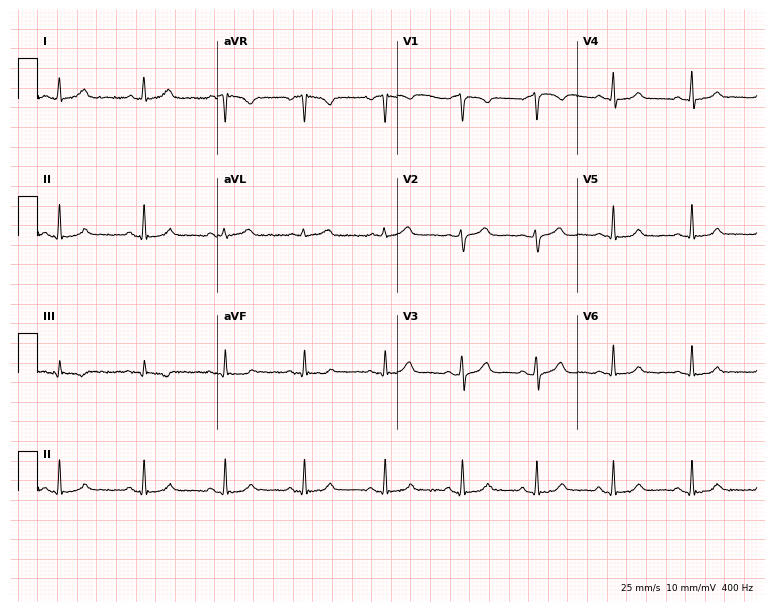
ECG (7.3-second recording at 400 Hz) — a 45-year-old female. Labelled as a normal ECG.